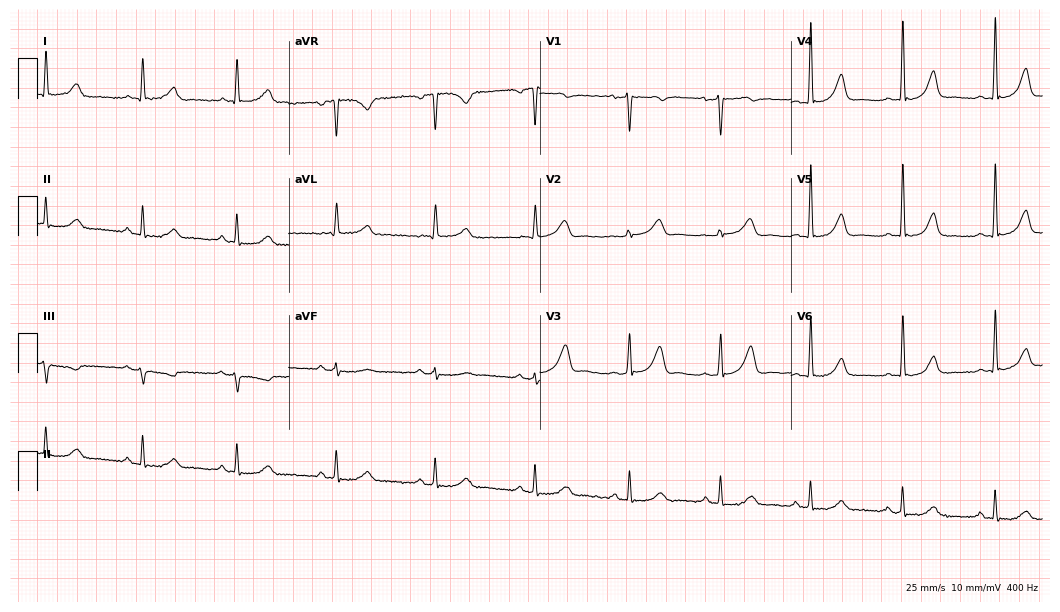
ECG (10.2-second recording at 400 Hz) — a 52-year-old woman. Labelled as a normal ECG.